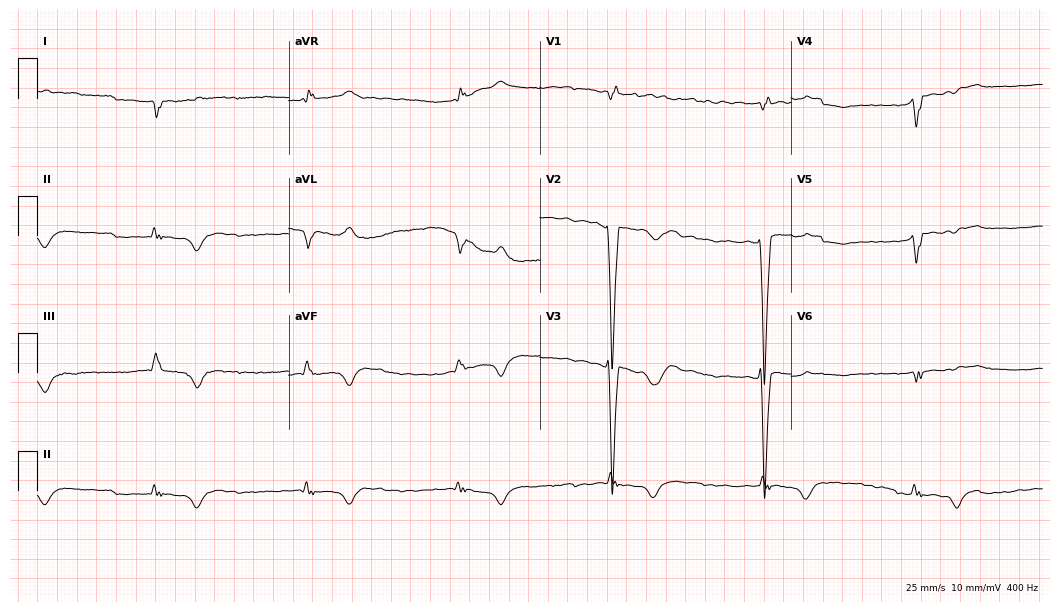
Electrocardiogram, a woman, 82 years old. Interpretation includes atrial fibrillation (AF).